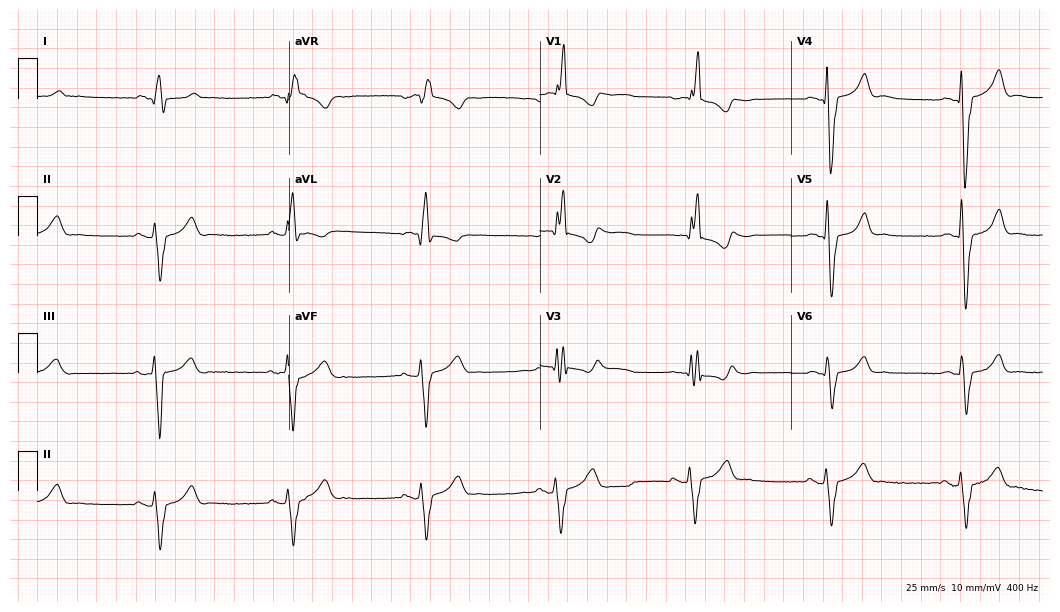
Standard 12-lead ECG recorded from a 77-year-old male patient. The tracing shows right bundle branch block (RBBB), sinus bradycardia (a sinus rate of 50 beats per minute or less).